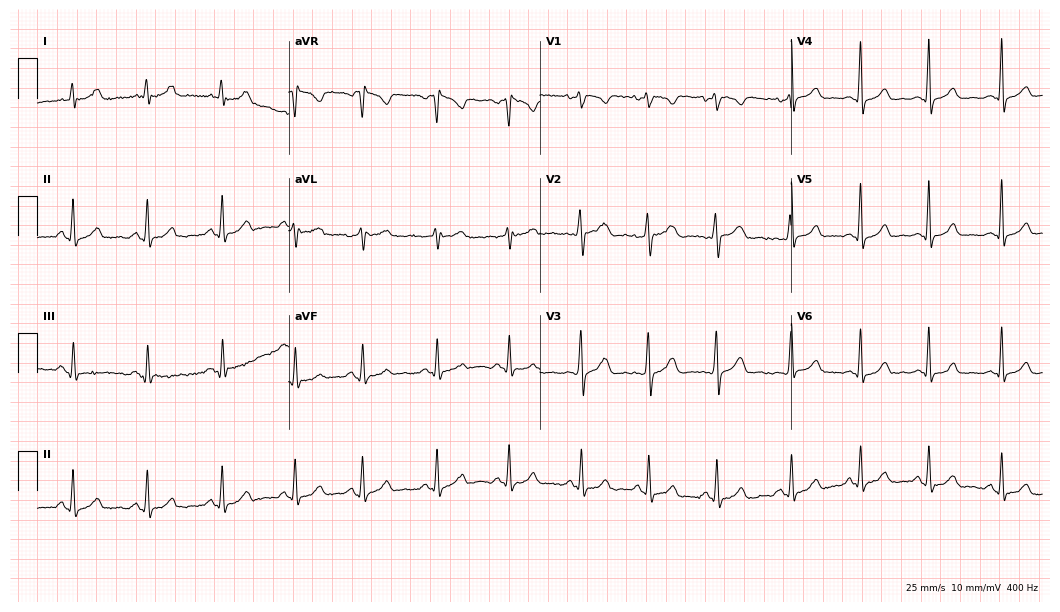
12-lead ECG from a 37-year-old female patient (10.2-second recording at 400 Hz). Recorded interpretation: within normal limits.